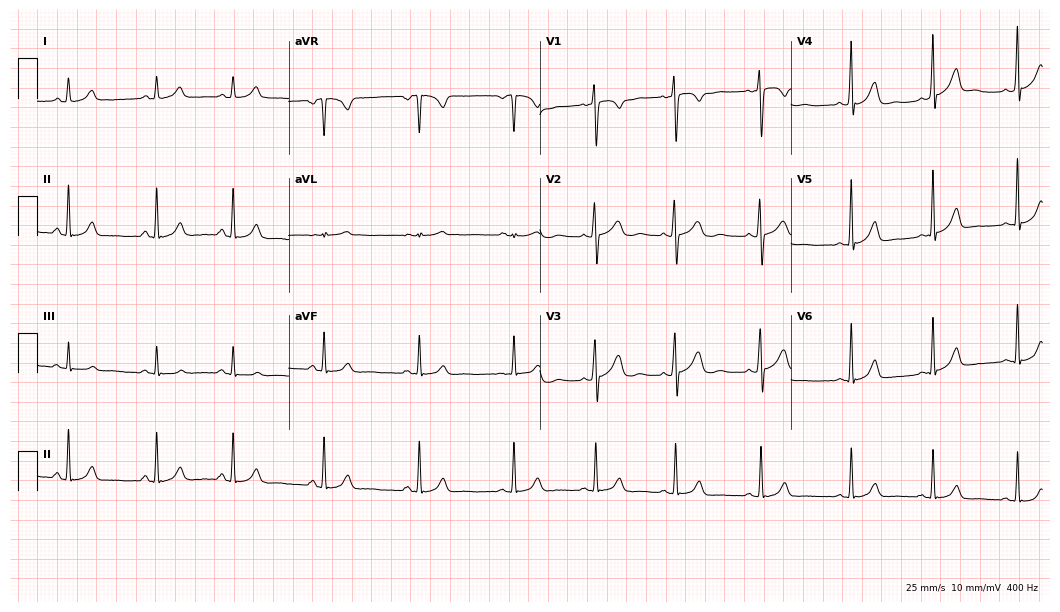
Electrocardiogram (10.2-second recording at 400 Hz), a 24-year-old male. Overall reading on record: normal ECG.